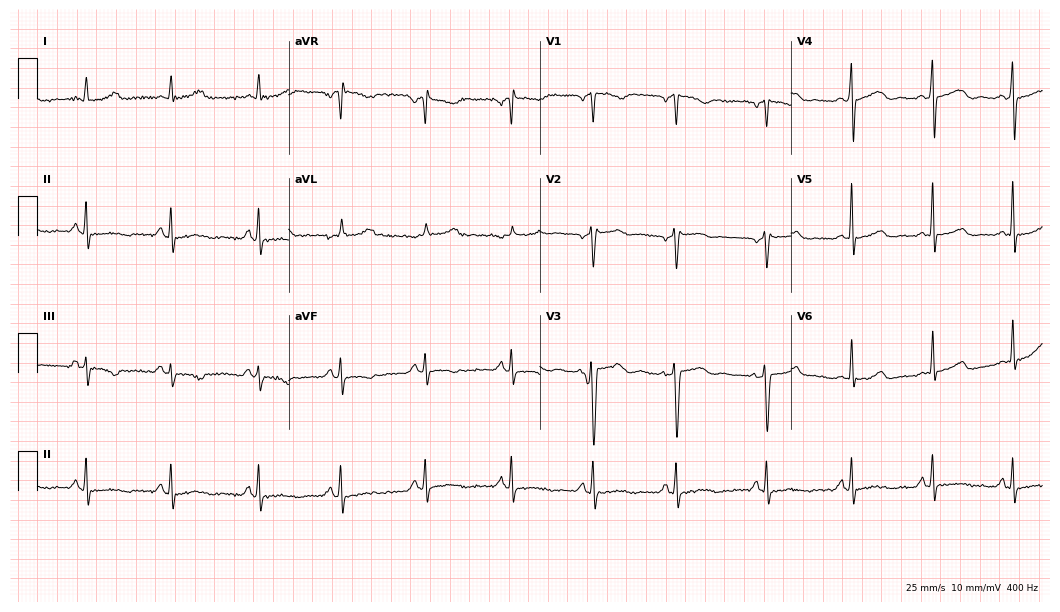
12-lead ECG from a woman, 46 years old. No first-degree AV block, right bundle branch block, left bundle branch block, sinus bradycardia, atrial fibrillation or sinus tachycardia recorded for this tracing.